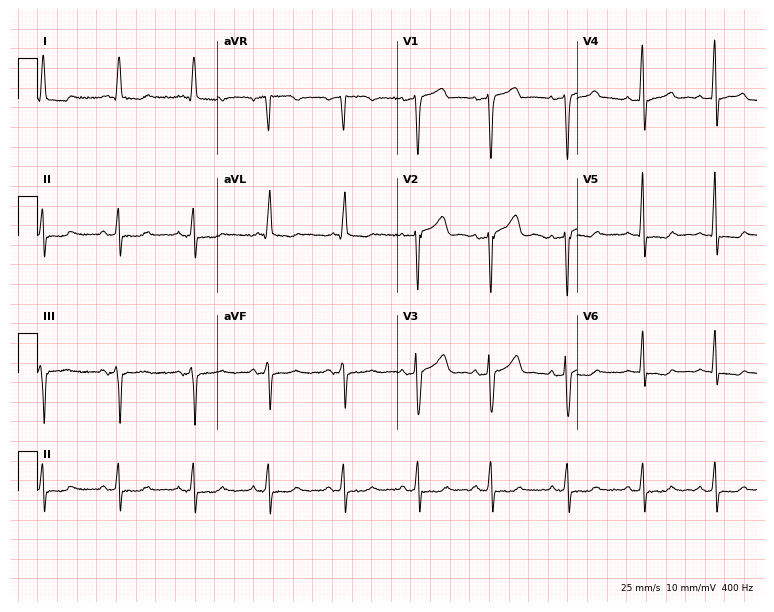
12-lead ECG from a 60-year-old male. Screened for six findings — first-degree AV block, right bundle branch block (RBBB), left bundle branch block (LBBB), sinus bradycardia, atrial fibrillation (AF), sinus tachycardia — none is recorded. Only these six findings were labelled.